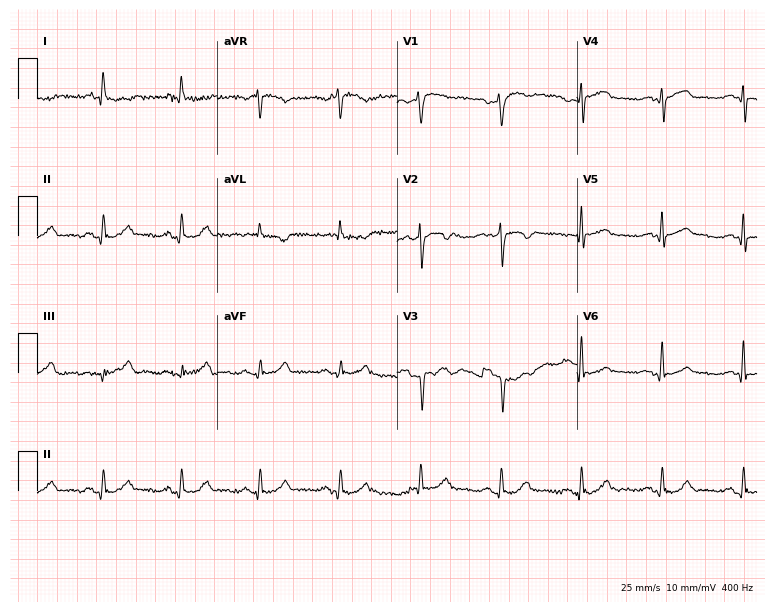
12-lead ECG from a 73-year-old man. No first-degree AV block, right bundle branch block, left bundle branch block, sinus bradycardia, atrial fibrillation or sinus tachycardia recorded for this tracing. Only these six findings were labelled.